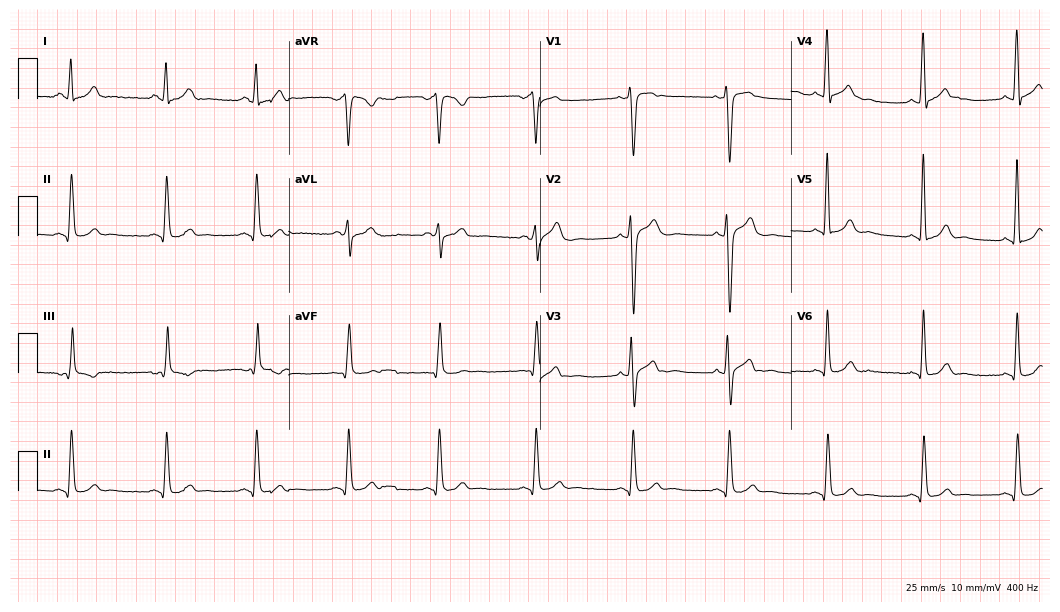
ECG (10.2-second recording at 400 Hz) — a 28-year-old male. Screened for six findings — first-degree AV block, right bundle branch block (RBBB), left bundle branch block (LBBB), sinus bradycardia, atrial fibrillation (AF), sinus tachycardia — none is recorded. Other findings, if any, are not listed.